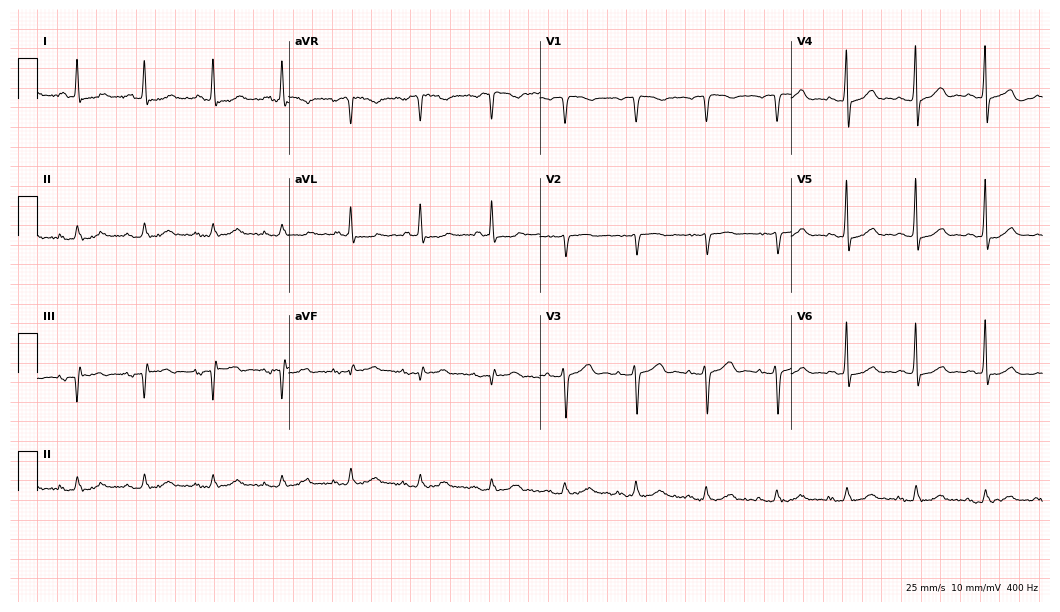
Electrocardiogram, an 81-year-old female patient. Overall reading on record: normal ECG.